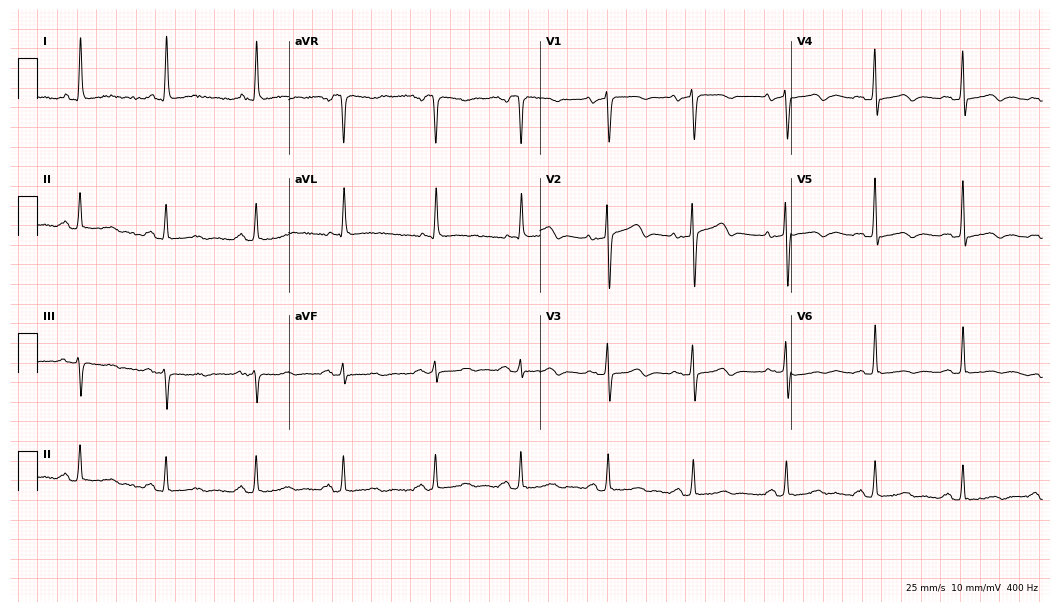
12-lead ECG from a female, 85 years old (10.2-second recording at 400 Hz). No first-degree AV block, right bundle branch block (RBBB), left bundle branch block (LBBB), sinus bradycardia, atrial fibrillation (AF) or sinus tachycardia recorded for this tracing. Only these six findings were labelled.